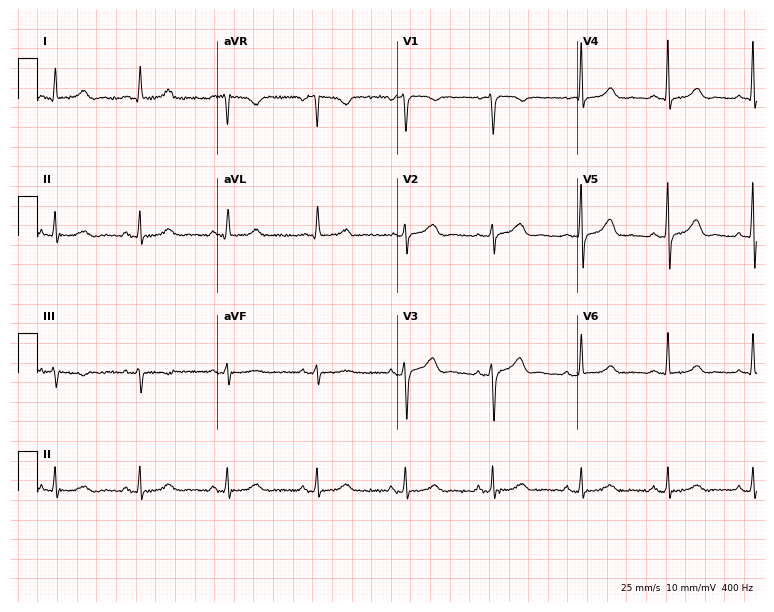
Resting 12-lead electrocardiogram (7.3-second recording at 400 Hz). Patient: a 53-year-old female. None of these six findings is recorded: first-degree AV block, right bundle branch block (RBBB), left bundle branch block (LBBB), sinus bradycardia, atrial fibrillation (AF), sinus tachycardia. Other findings, if any, are not listed.